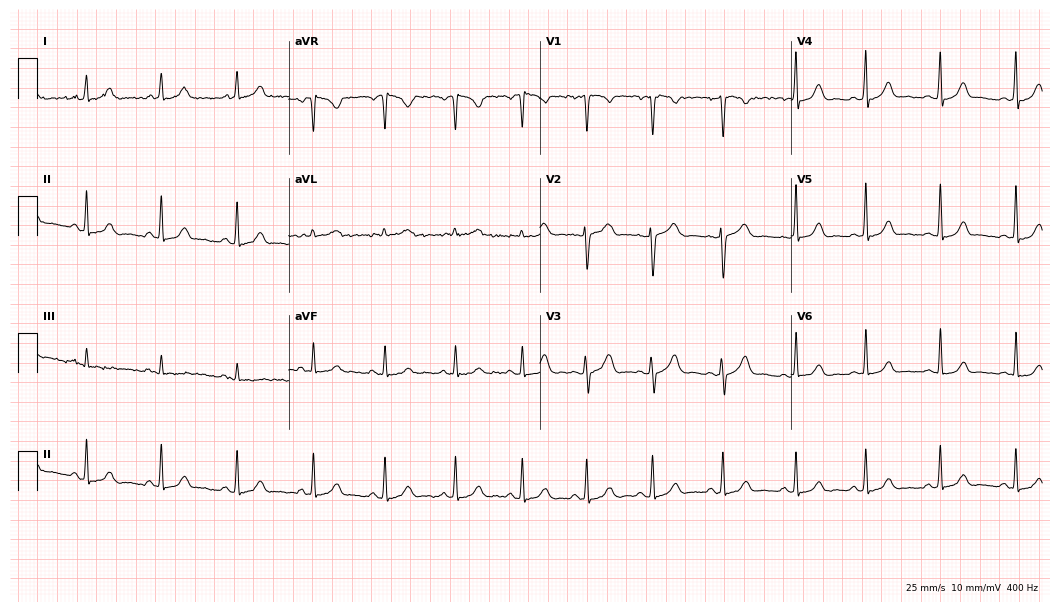
Electrocardiogram, a woman, 22 years old. Overall reading on record: normal ECG.